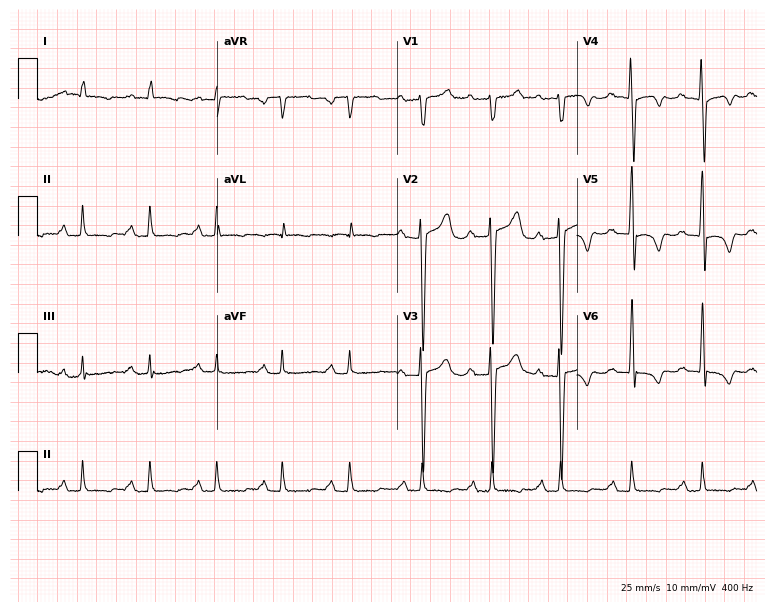
Electrocardiogram, a male, 71 years old. Of the six screened findings (first-degree AV block, right bundle branch block, left bundle branch block, sinus bradycardia, atrial fibrillation, sinus tachycardia), none is recorded.